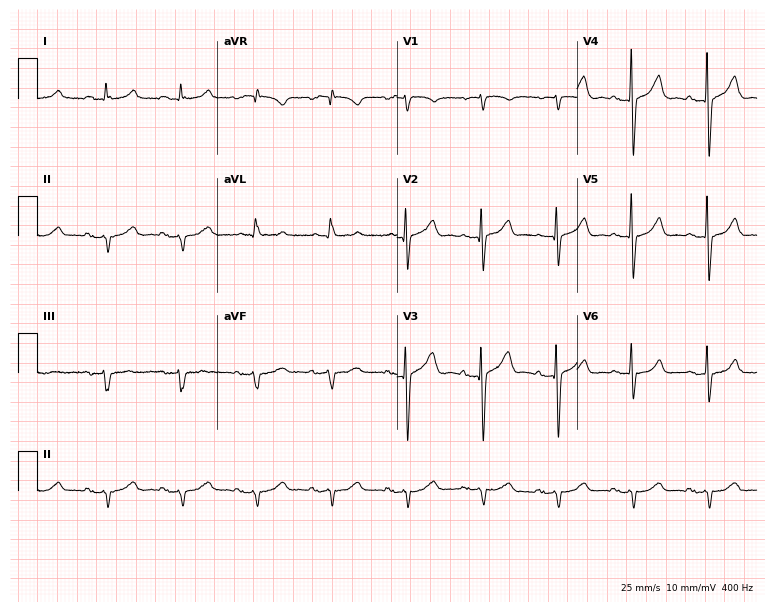
ECG — a male, 78 years old. Screened for six findings — first-degree AV block, right bundle branch block, left bundle branch block, sinus bradycardia, atrial fibrillation, sinus tachycardia — none is recorded. Other findings, if any, are not listed.